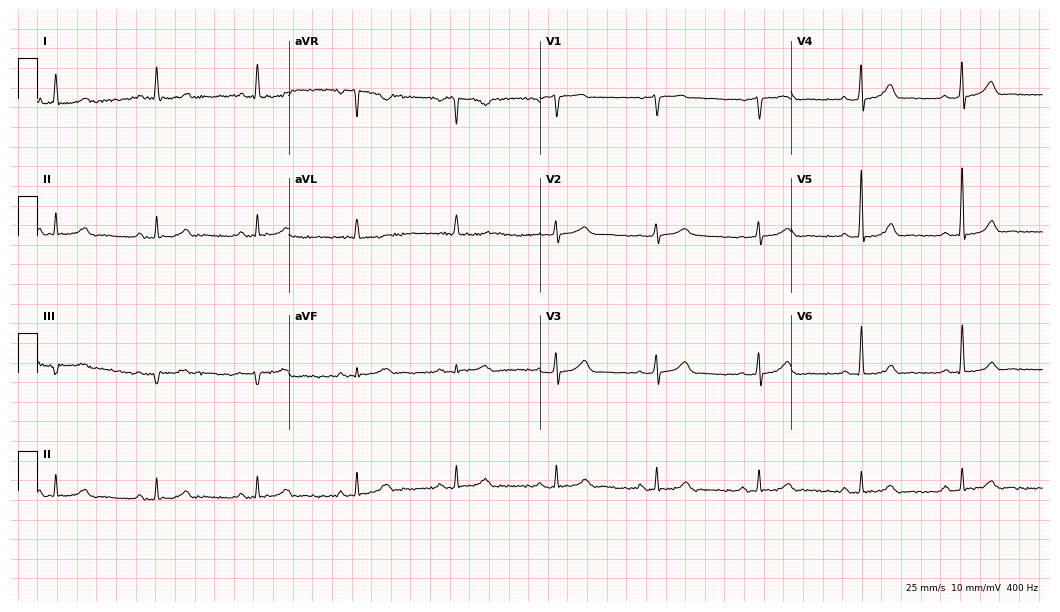
12-lead ECG from a female, 62 years old (10.2-second recording at 400 Hz). No first-degree AV block, right bundle branch block, left bundle branch block, sinus bradycardia, atrial fibrillation or sinus tachycardia recorded for this tracing. Other findings, if any, are not listed.